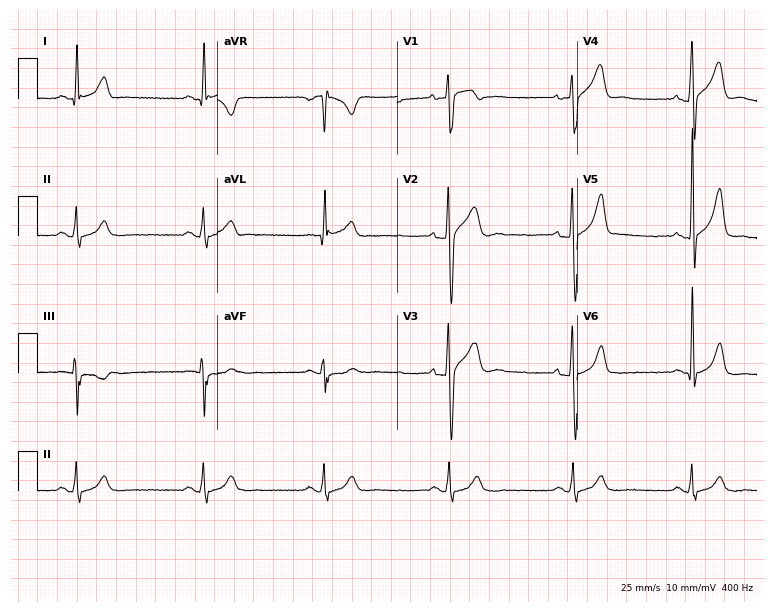
Electrocardiogram, a male, 32 years old. Interpretation includes sinus bradycardia (a sinus rate of 50 beats per minute or less).